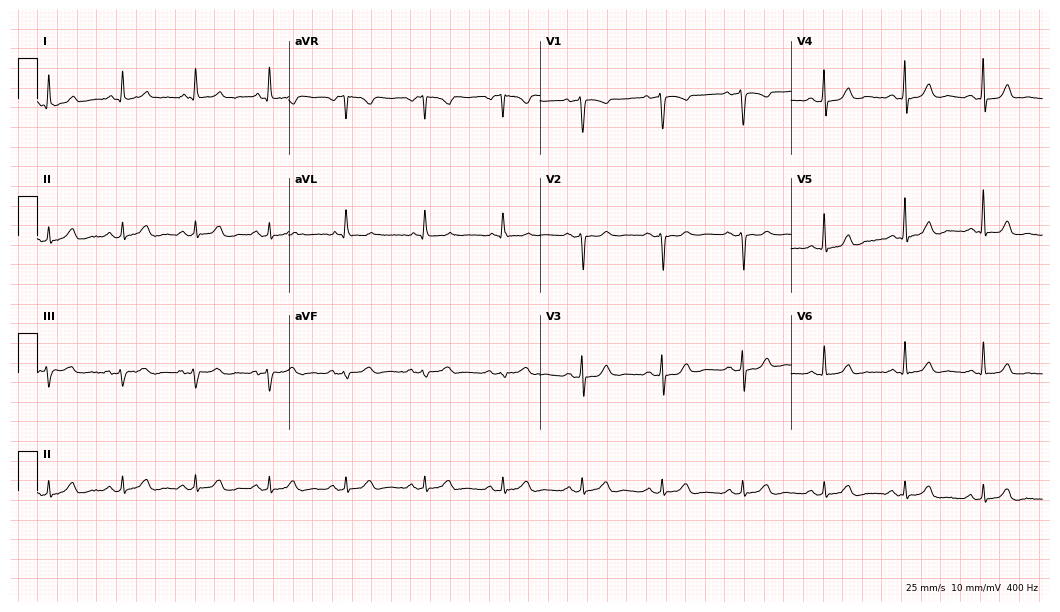
12-lead ECG from a female, 53 years old (10.2-second recording at 400 Hz). No first-degree AV block, right bundle branch block (RBBB), left bundle branch block (LBBB), sinus bradycardia, atrial fibrillation (AF) or sinus tachycardia recorded for this tracing. Only these six findings were labelled.